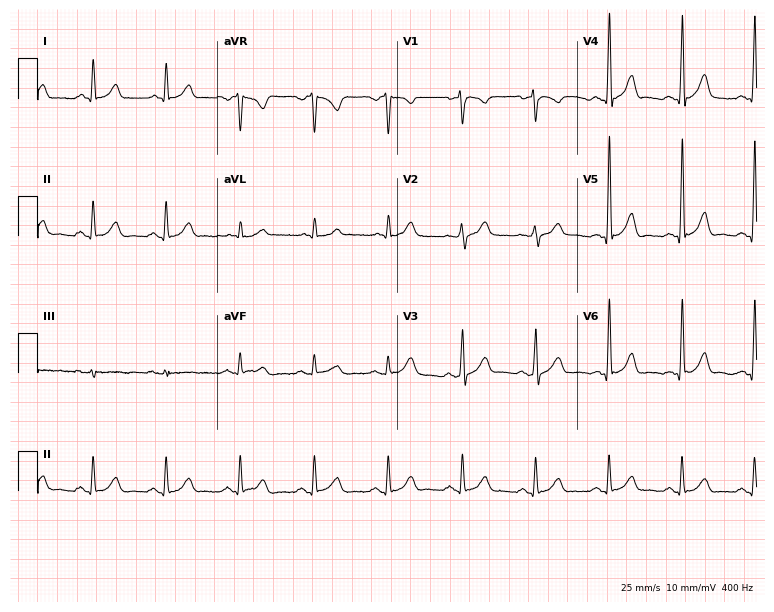
Standard 12-lead ECG recorded from a 53-year-old male (7.3-second recording at 400 Hz). Read as a normal ECG.